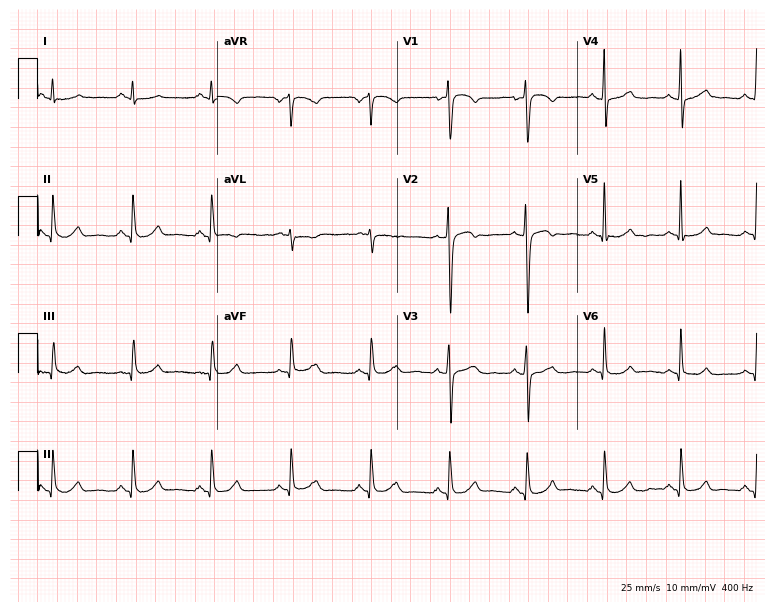
12-lead ECG from a male, 54 years old (7.3-second recording at 400 Hz). No first-degree AV block, right bundle branch block (RBBB), left bundle branch block (LBBB), sinus bradycardia, atrial fibrillation (AF) or sinus tachycardia recorded for this tracing.